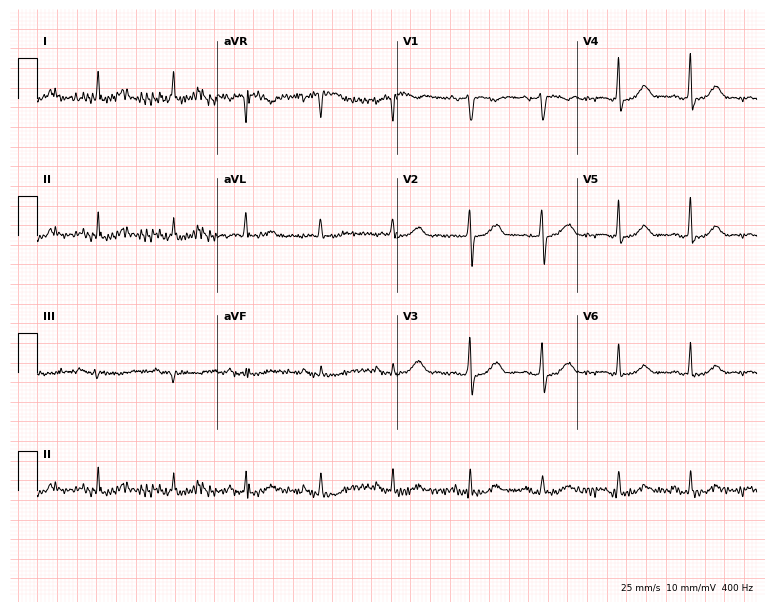
Resting 12-lead electrocardiogram (7.3-second recording at 400 Hz). Patient: an 82-year-old man. Read as a normal ECG.